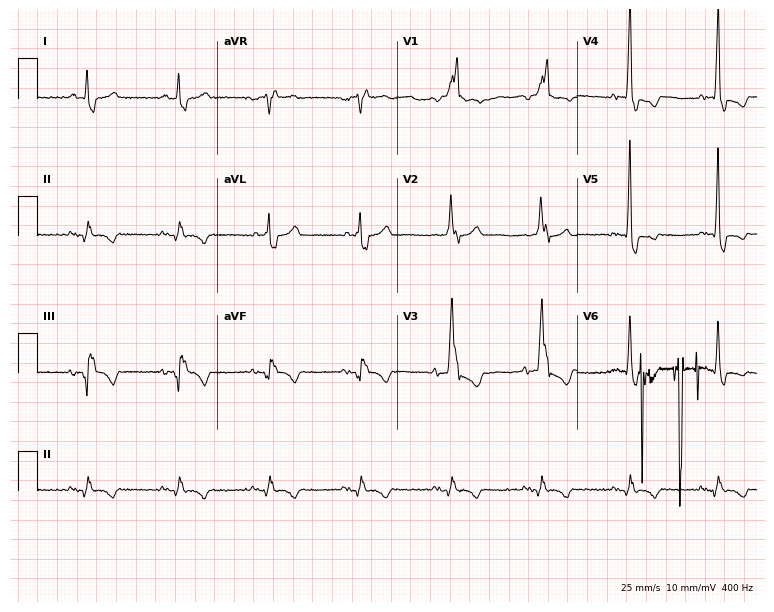
Resting 12-lead electrocardiogram. Patient: a 74-year-old man. The tracing shows right bundle branch block.